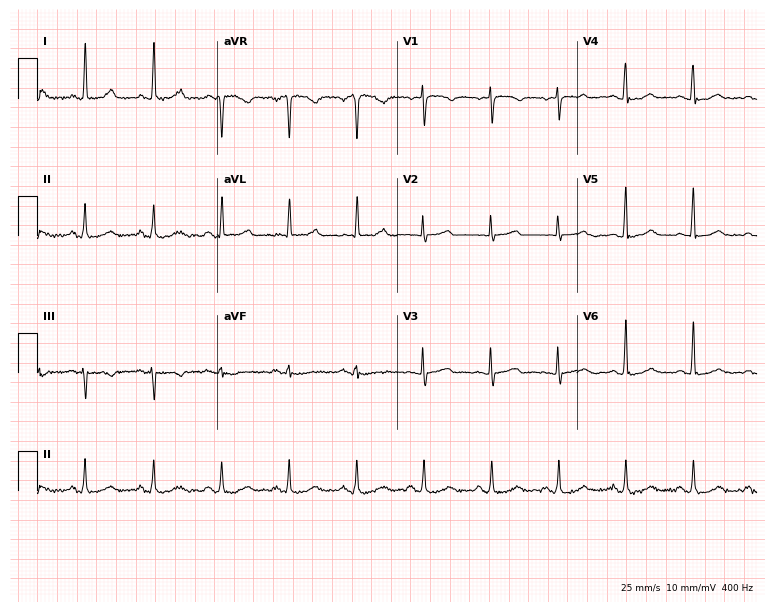
ECG (7.3-second recording at 400 Hz) — a woman, 61 years old. Labelled as a normal ECG.